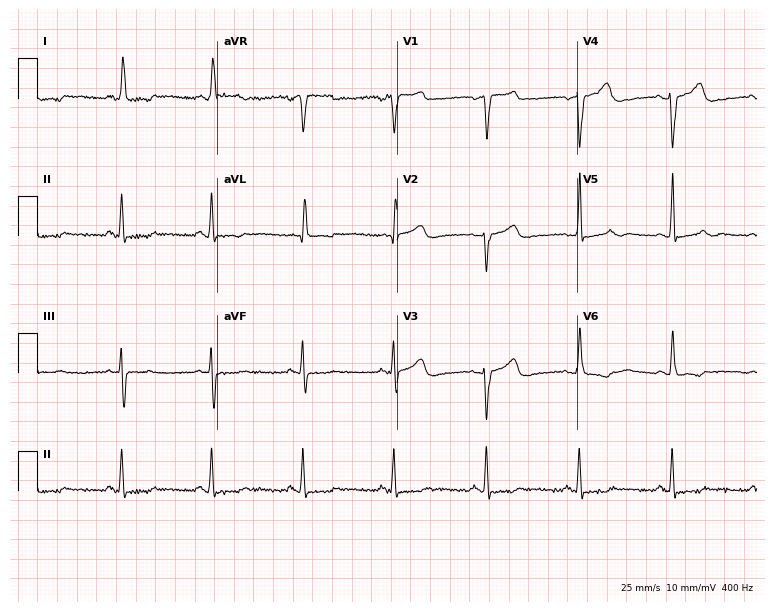
12-lead ECG from a 75-year-old female. No first-degree AV block, right bundle branch block, left bundle branch block, sinus bradycardia, atrial fibrillation or sinus tachycardia recorded for this tracing.